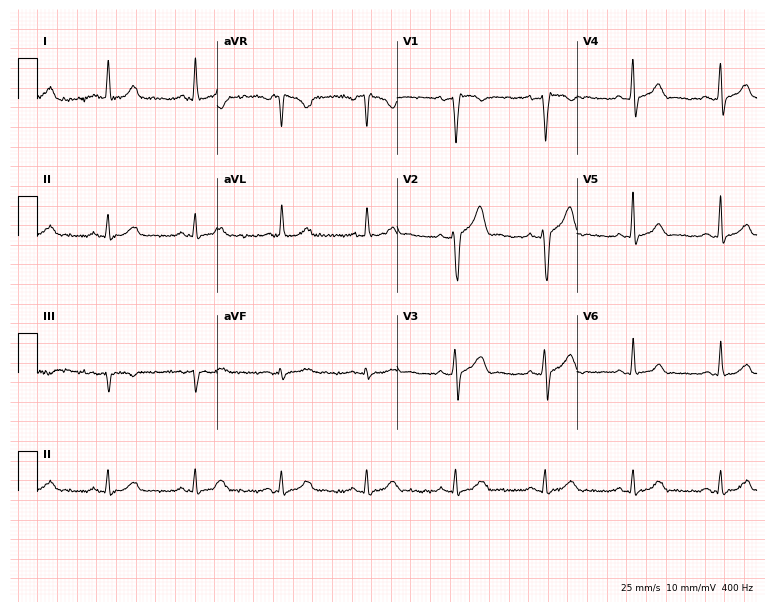
Standard 12-lead ECG recorded from a 35-year-old male. None of these six findings is recorded: first-degree AV block, right bundle branch block, left bundle branch block, sinus bradycardia, atrial fibrillation, sinus tachycardia.